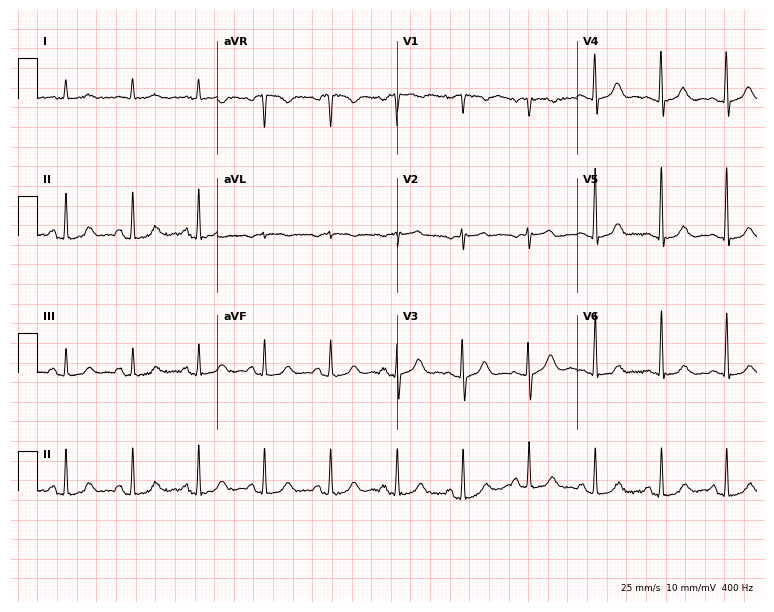
Electrocardiogram, a 71-year-old female patient. Overall reading on record: normal ECG.